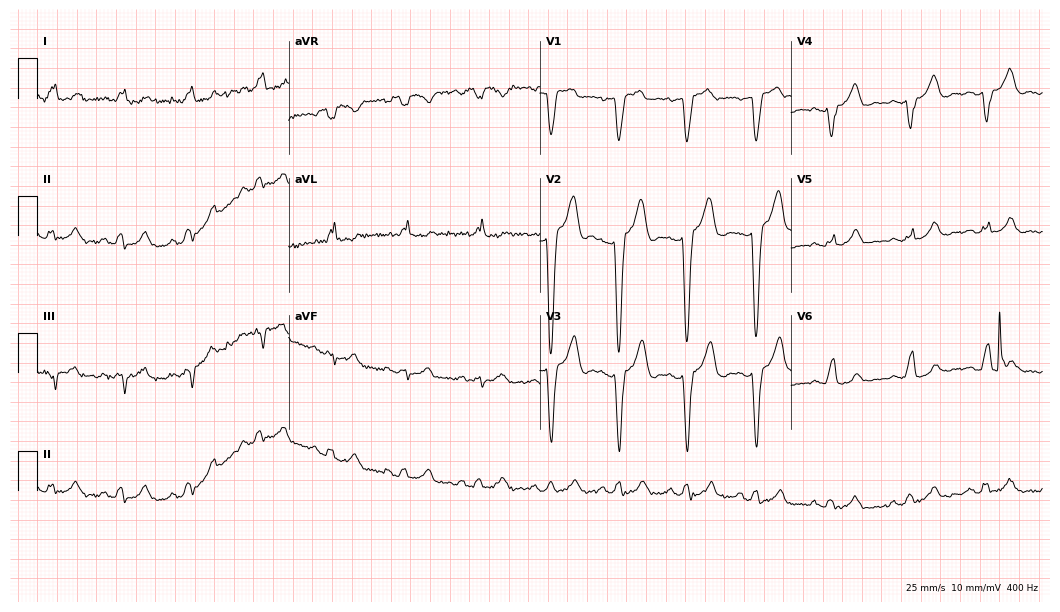
ECG (10.2-second recording at 400 Hz) — a 52-year-old woman. Findings include left bundle branch block (LBBB).